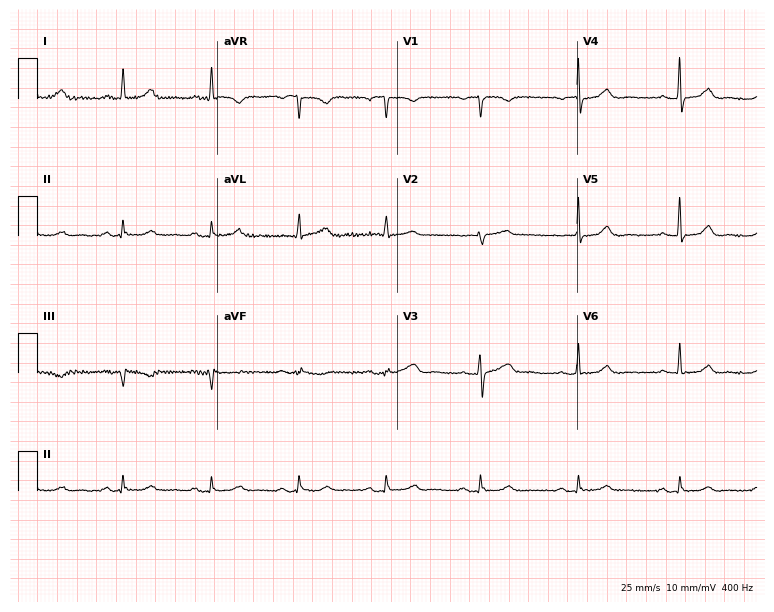
12-lead ECG from a 58-year-old female patient (7.3-second recording at 400 Hz). Recorded interpretation: within normal limits.